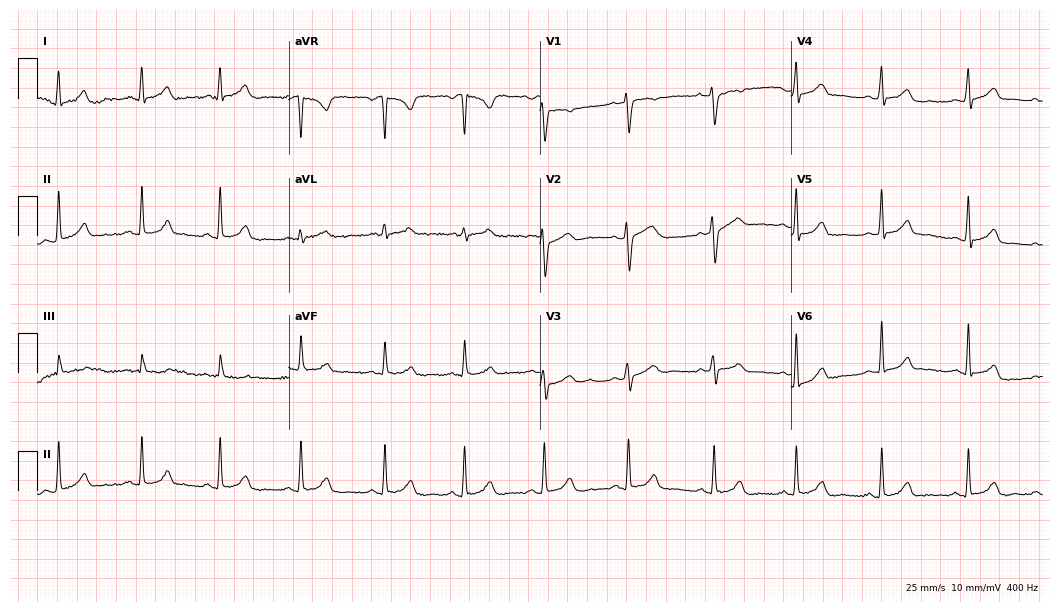
Standard 12-lead ECG recorded from a female, 38 years old (10.2-second recording at 400 Hz). None of these six findings is recorded: first-degree AV block, right bundle branch block (RBBB), left bundle branch block (LBBB), sinus bradycardia, atrial fibrillation (AF), sinus tachycardia.